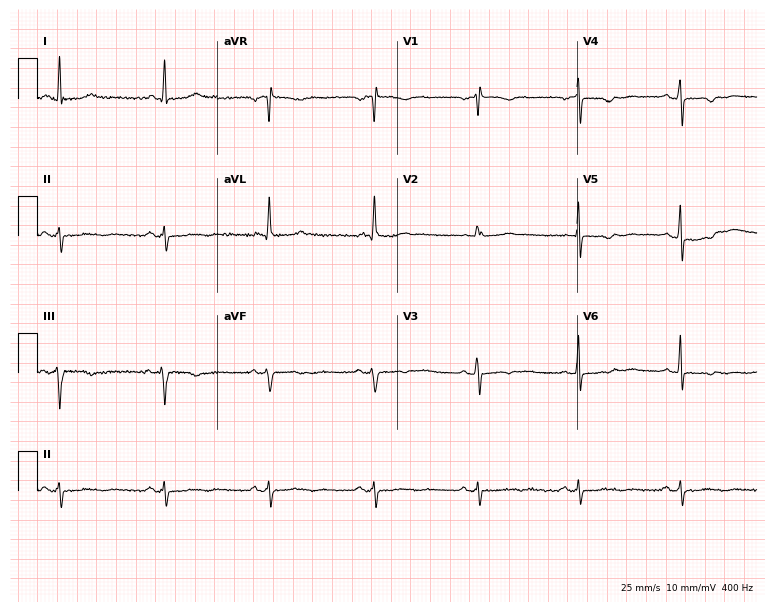
12-lead ECG from a 61-year-old female (7.3-second recording at 400 Hz). No first-degree AV block, right bundle branch block (RBBB), left bundle branch block (LBBB), sinus bradycardia, atrial fibrillation (AF) or sinus tachycardia recorded for this tracing. Only these six findings were labelled.